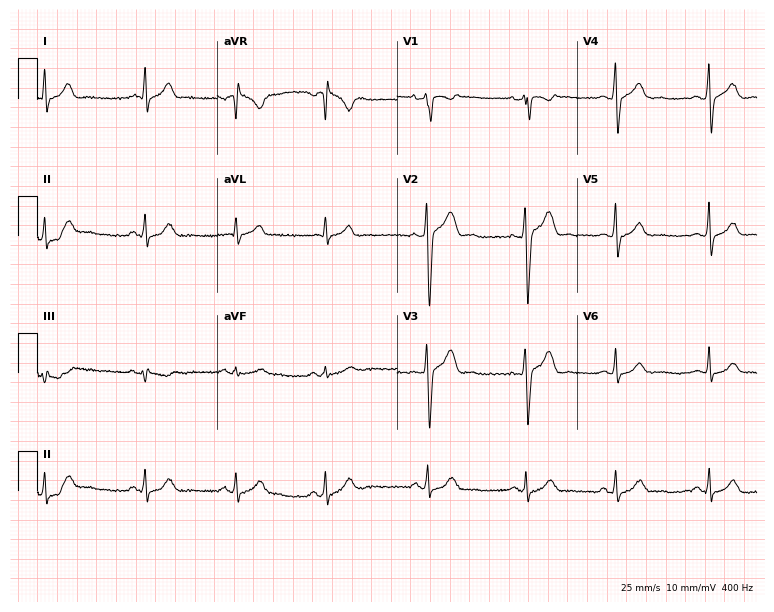
Resting 12-lead electrocardiogram (7.3-second recording at 400 Hz). Patient: a 24-year-old male. Read as a normal ECG.